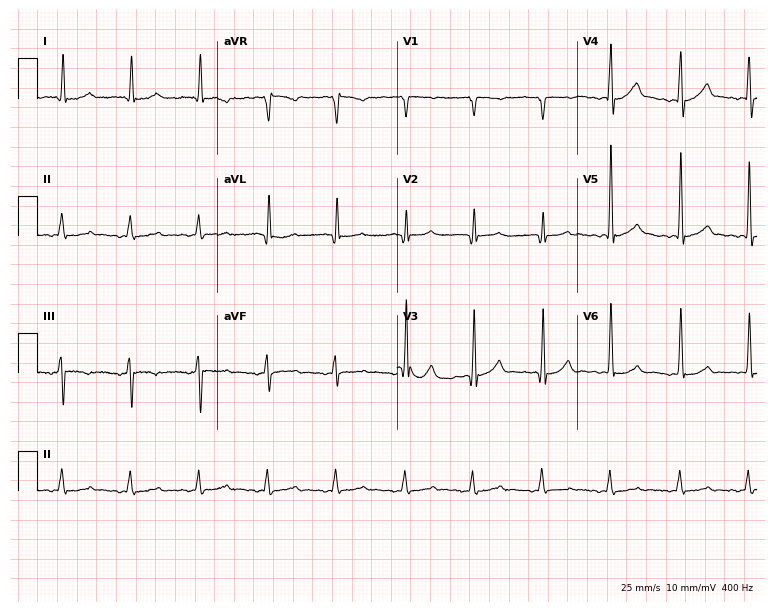
12-lead ECG (7.3-second recording at 400 Hz) from a male, 77 years old. Labelled as a normal ECG.